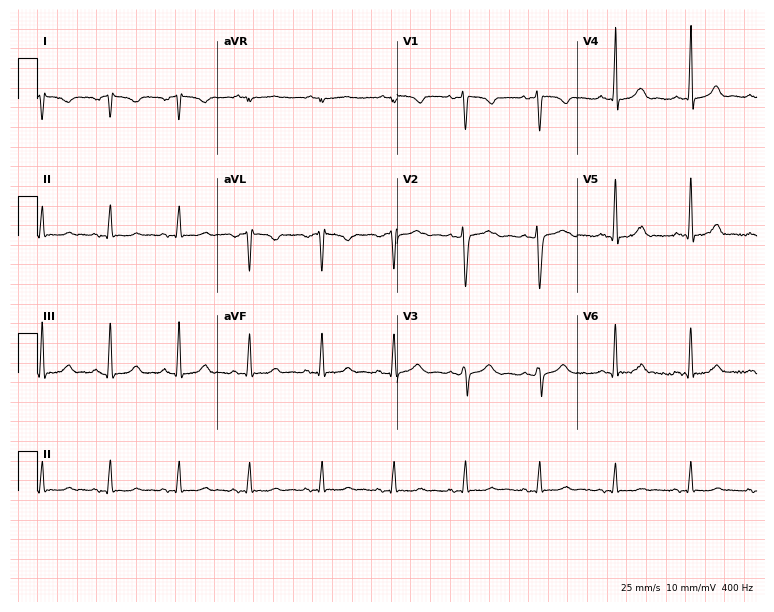
ECG — a 25-year-old female. Screened for six findings — first-degree AV block, right bundle branch block, left bundle branch block, sinus bradycardia, atrial fibrillation, sinus tachycardia — none is recorded.